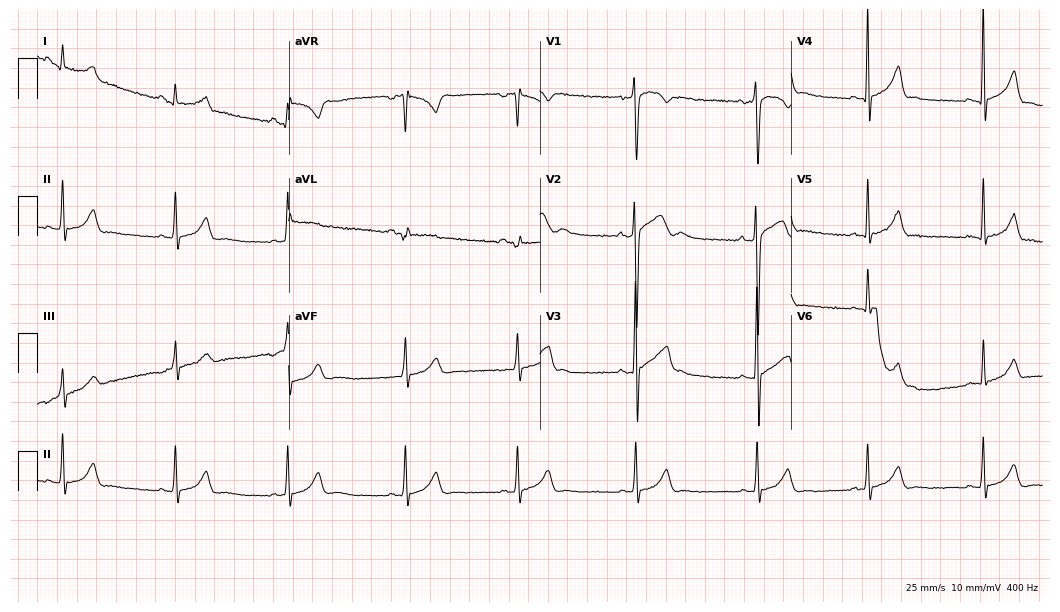
Resting 12-lead electrocardiogram (10.2-second recording at 400 Hz). Patient: a male, 17 years old. Read as a normal ECG.